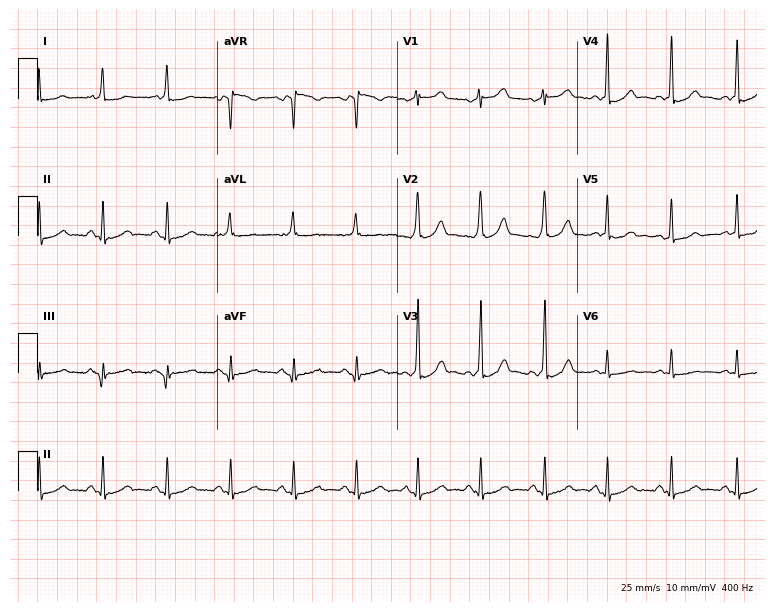
Electrocardiogram, a female, 36 years old. Of the six screened findings (first-degree AV block, right bundle branch block (RBBB), left bundle branch block (LBBB), sinus bradycardia, atrial fibrillation (AF), sinus tachycardia), none is recorded. Other findings, if any, are not listed.